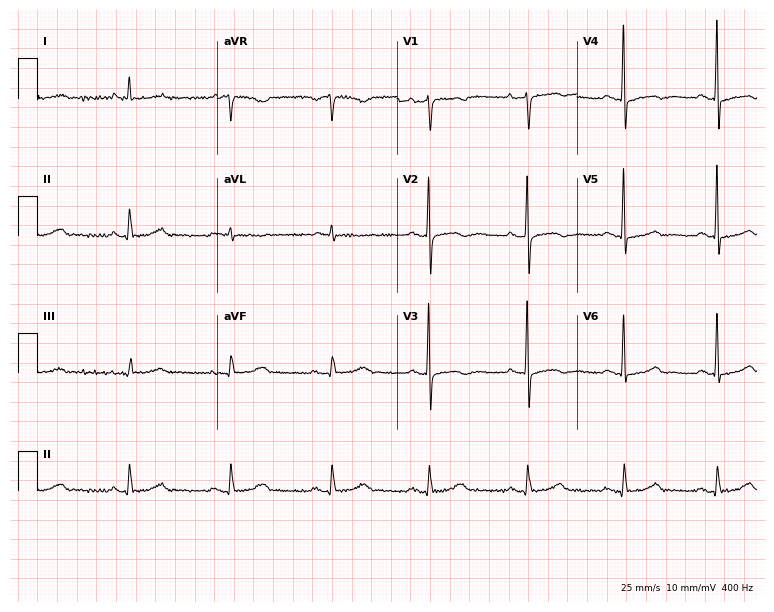
Resting 12-lead electrocardiogram. Patient: a 63-year-old female. None of these six findings is recorded: first-degree AV block, right bundle branch block, left bundle branch block, sinus bradycardia, atrial fibrillation, sinus tachycardia. Only these six findings were labelled.